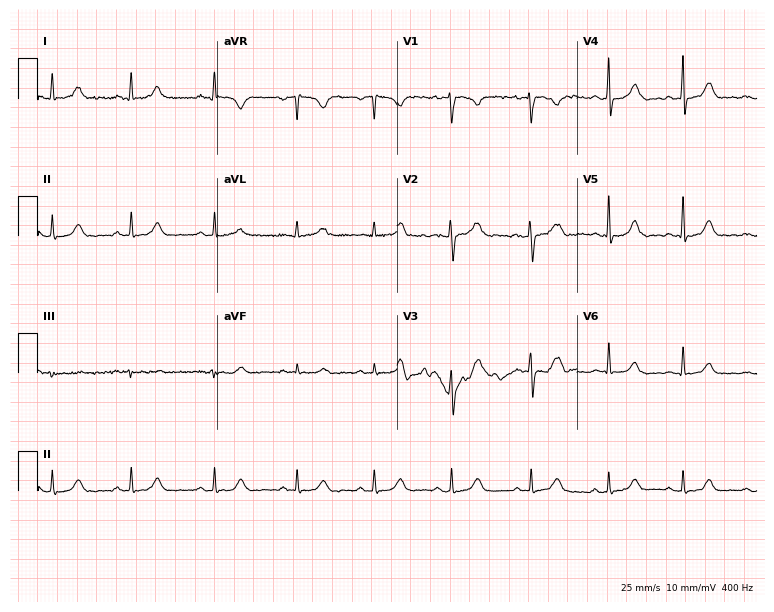
12-lead ECG (7.3-second recording at 400 Hz) from a female patient, 35 years old. Labelled as a normal ECG.